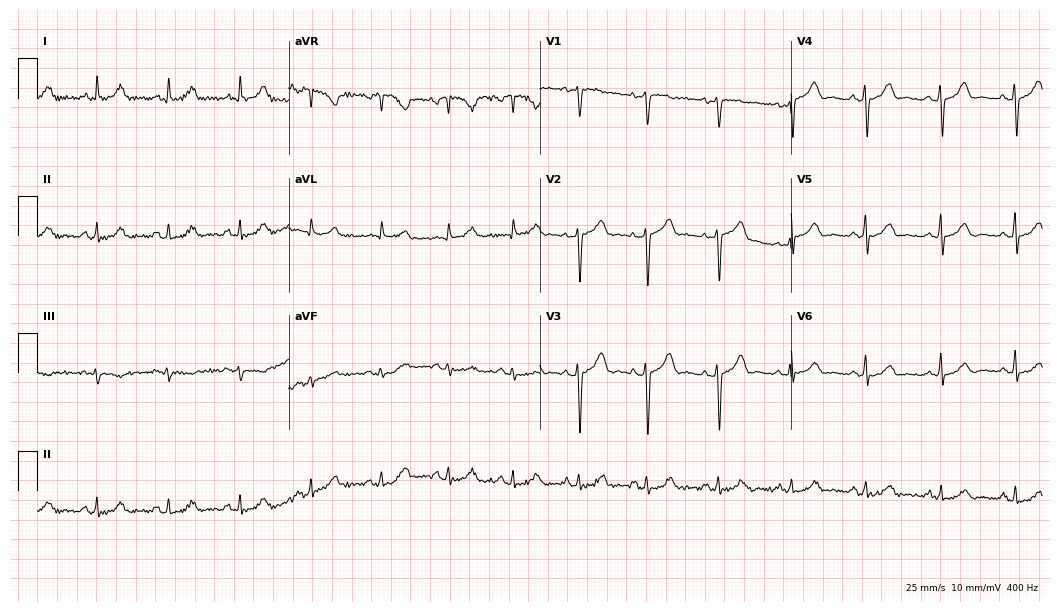
ECG (10.2-second recording at 400 Hz) — a 49-year-old female patient. Labelled as a normal ECG.